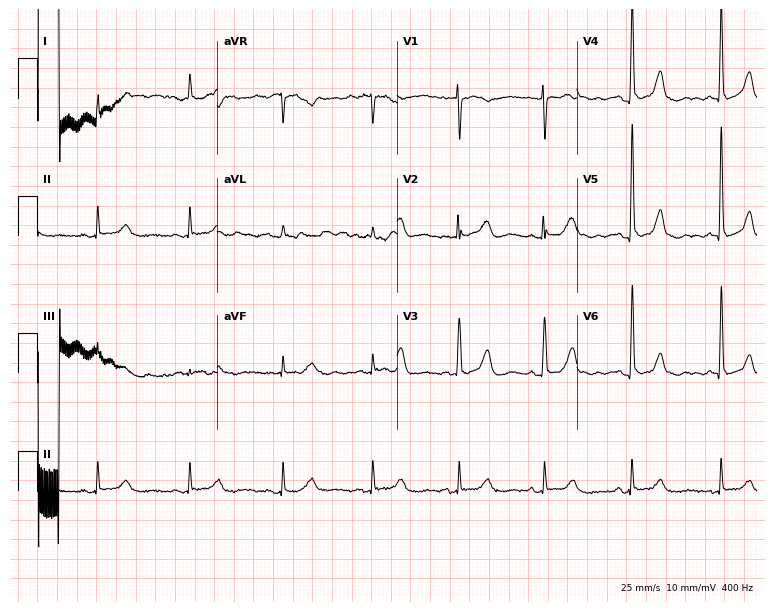
Electrocardiogram (7.3-second recording at 400 Hz), a woman, 77 years old. Of the six screened findings (first-degree AV block, right bundle branch block (RBBB), left bundle branch block (LBBB), sinus bradycardia, atrial fibrillation (AF), sinus tachycardia), none is recorded. Only these six findings were labelled.